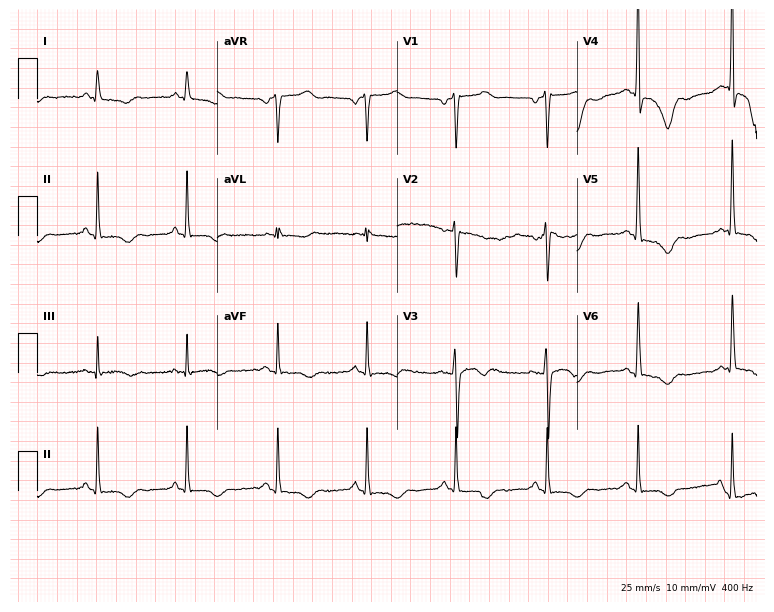
ECG — a 49-year-old male. Screened for six findings — first-degree AV block, right bundle branch block (RBBB), left bundle branch block (LBBB), sinus bradycardia, atrial fibrillation (AF), sinus tachycardia — none is recorded. Findings outside these six are not listed.